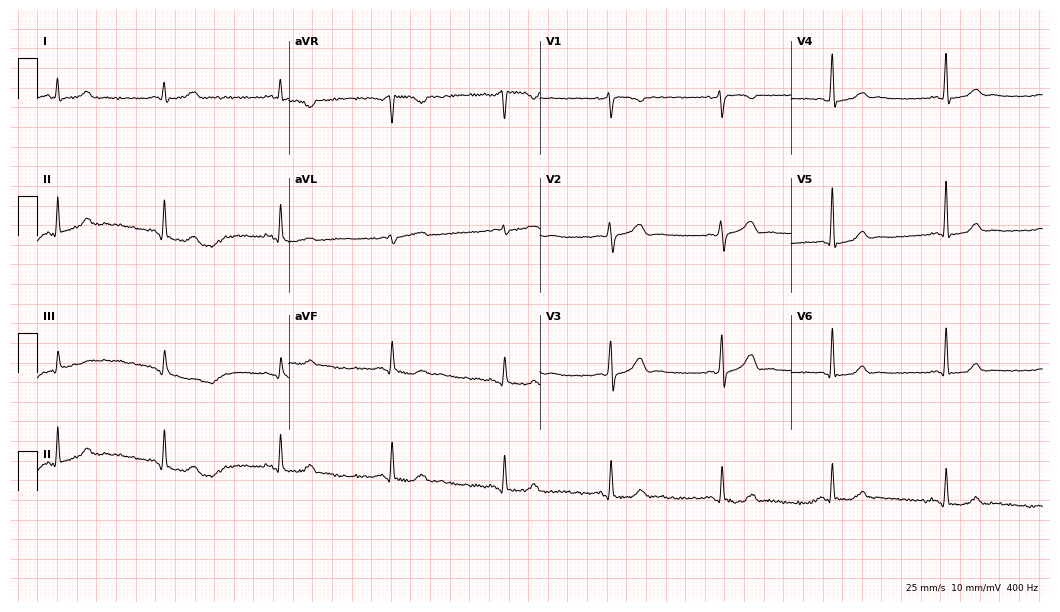
12-lead ECG from a female, 37 years old. Recorded interpretation: within normal limits.